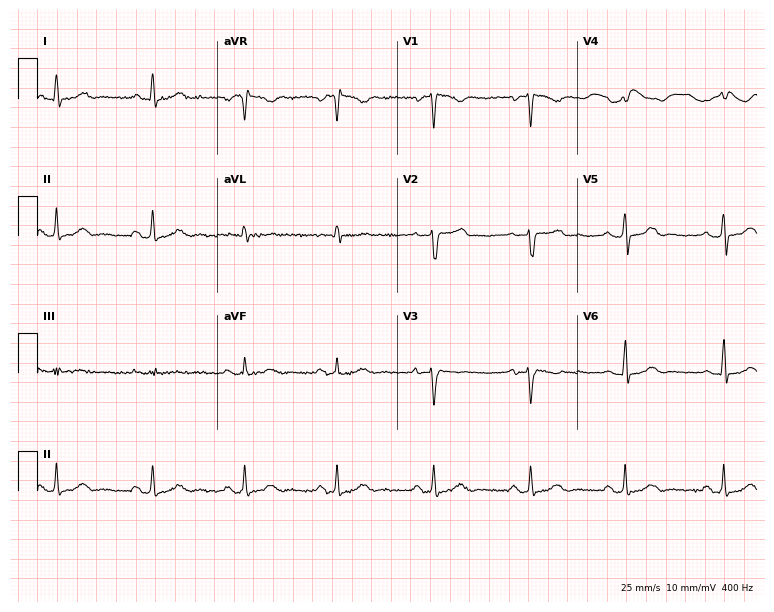
12-lead ECG from a male, 31 years old (7.3-second recording at 400 Hz). Recorded interpretation: within normal limits.